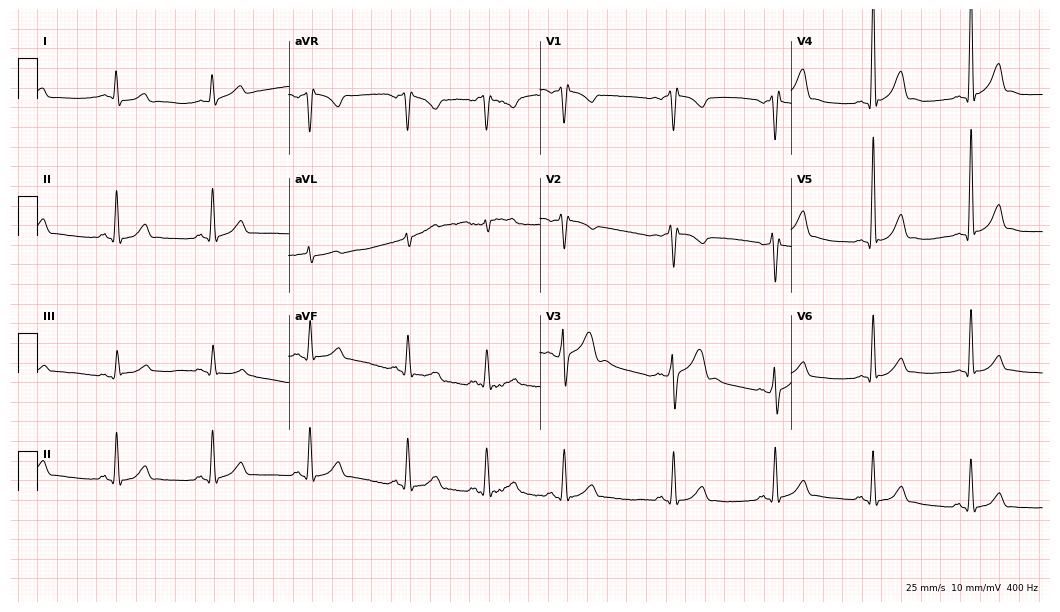
Standard 12-lead ECG recorded from a 22-year-old male patient (10.2-second recording at 400 Hz). None of these six findings is recorded: first-degree AV block, right bundle branch block (RBBB), left bundle branch block (LBBB), sinus bradycardia, atrial fibrillation (AF), sinus tachycardia. Other findings, if any, are not listed.